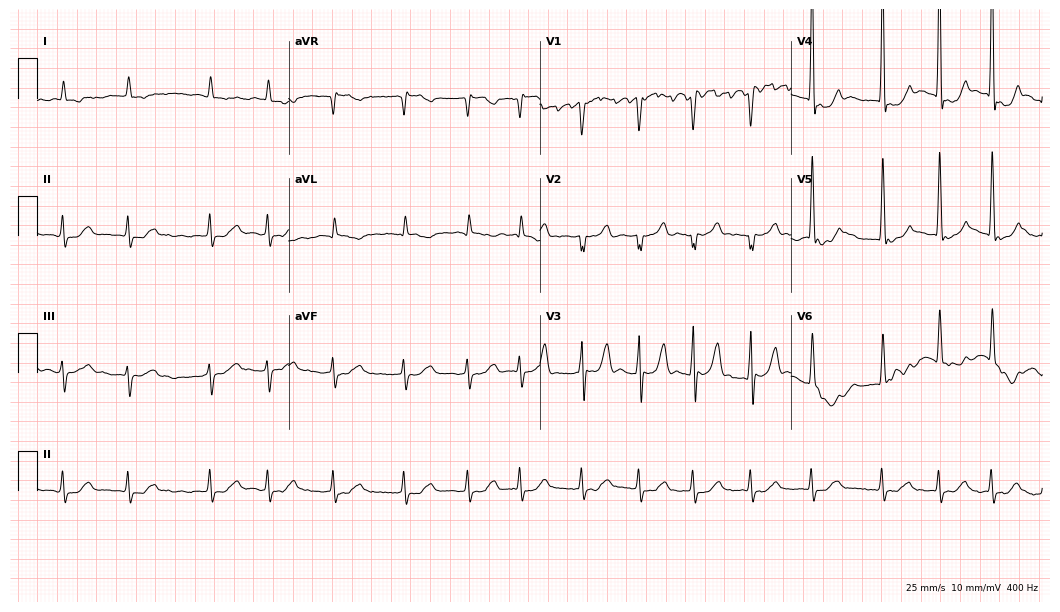
Electrocardiogram, a male patient, 74 years old. Interpretation includes atrial fibrillation (AF).